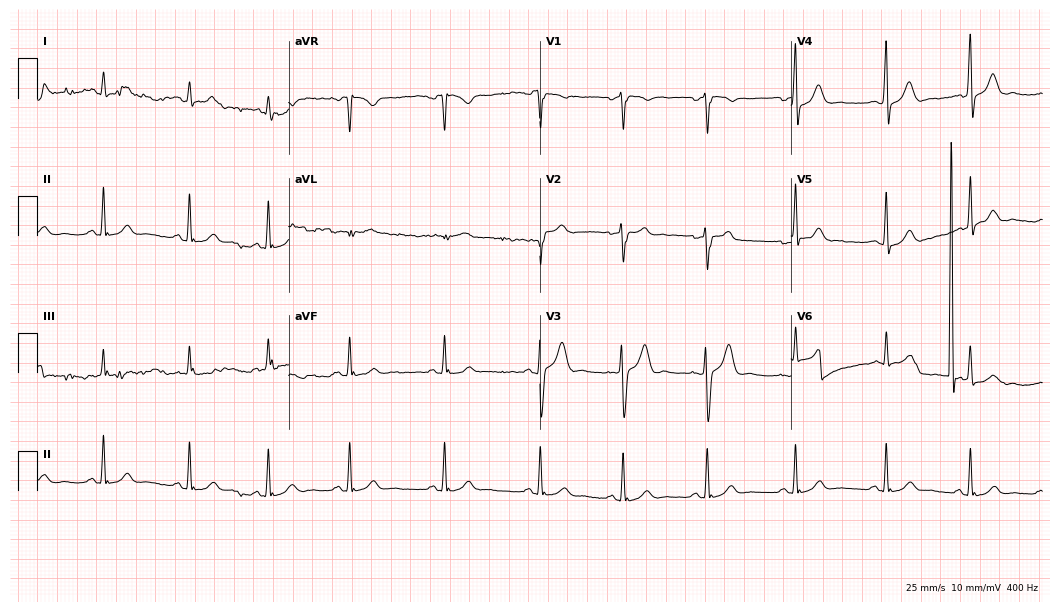
12-lead ECG from a female, 32 years old. Recorded interpretation: within normal limits.